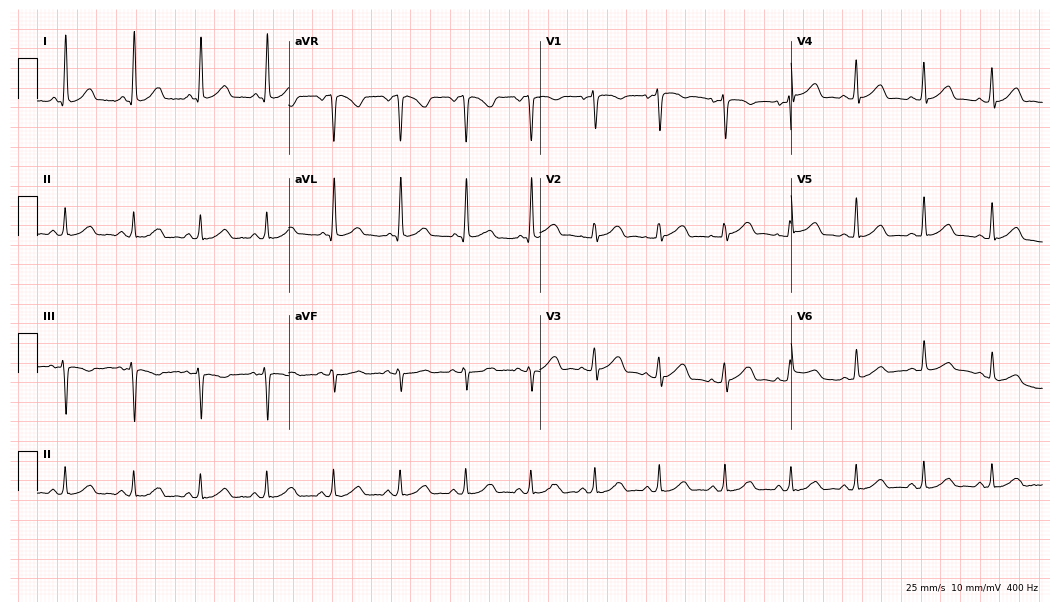
Electrocardiogram (10.2-second recording at 400 Hz), a 41-year-old female. Overall reading on record: normal ECG.